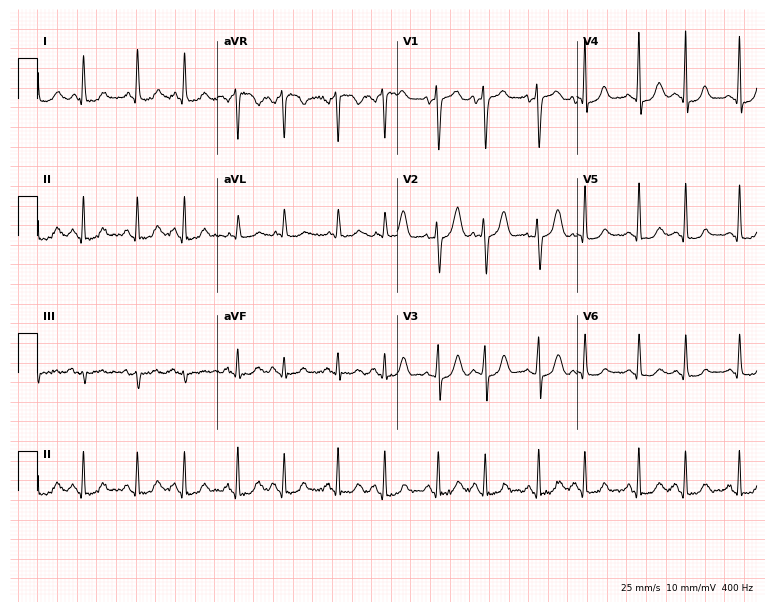
Resting 12-lead electrocardiogram. Patient: a female, 75 years old. None of these six findings is recorded: first-degree AV block, right bundle branch block (RBBB), left bundle branch block (LBBB), sinus bradycardia, atrial fibrillation (AF), sinus tachycardia.